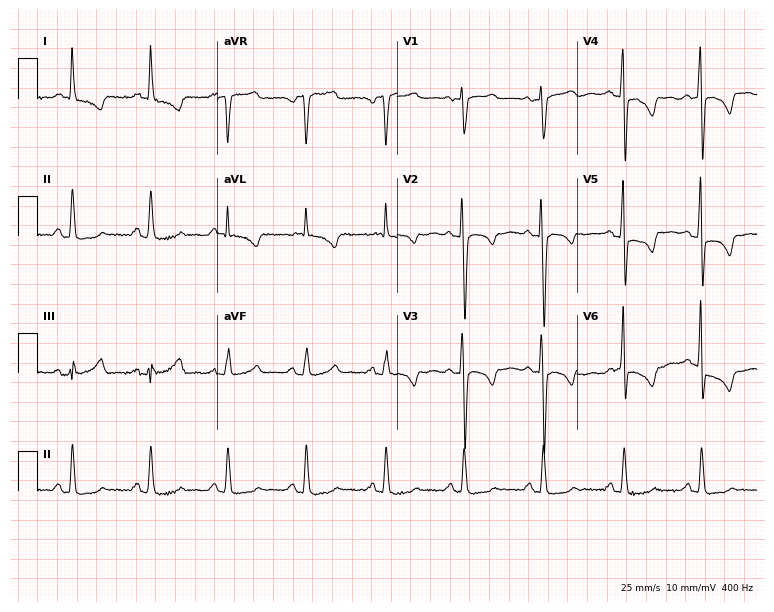
12-lead ECG from a 52-year-old female. Screened for six findings — first-degree AV block, right bundle branch block, left bundle branch block, sinus bradycardia, atrial fibrillation, sinus tachycardia — none is recorded.